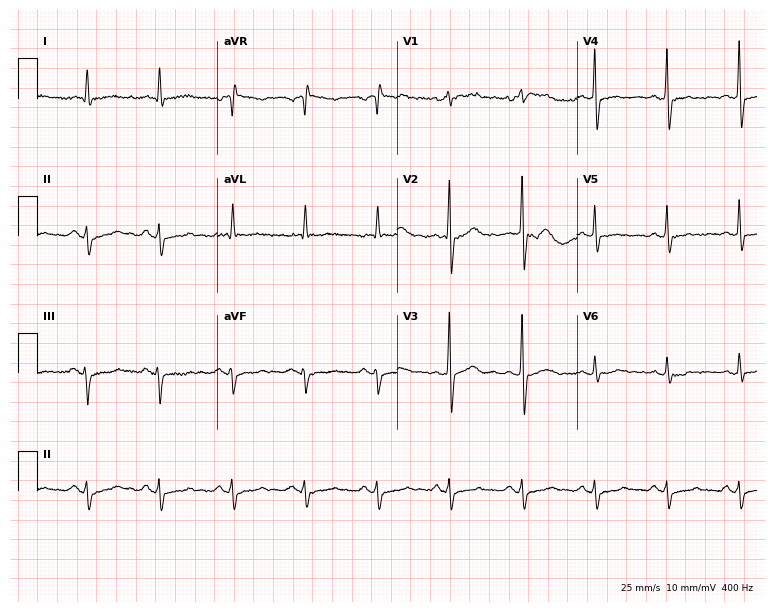
ECG — a male, 67 years old. Screened for six findings — first-degree AV block, right bundle branch block, left bundle branch block, sinus bradycardia, atrial fibrillation, sinus tachycardia — none is recorded. Other findings, if any, are not listed.